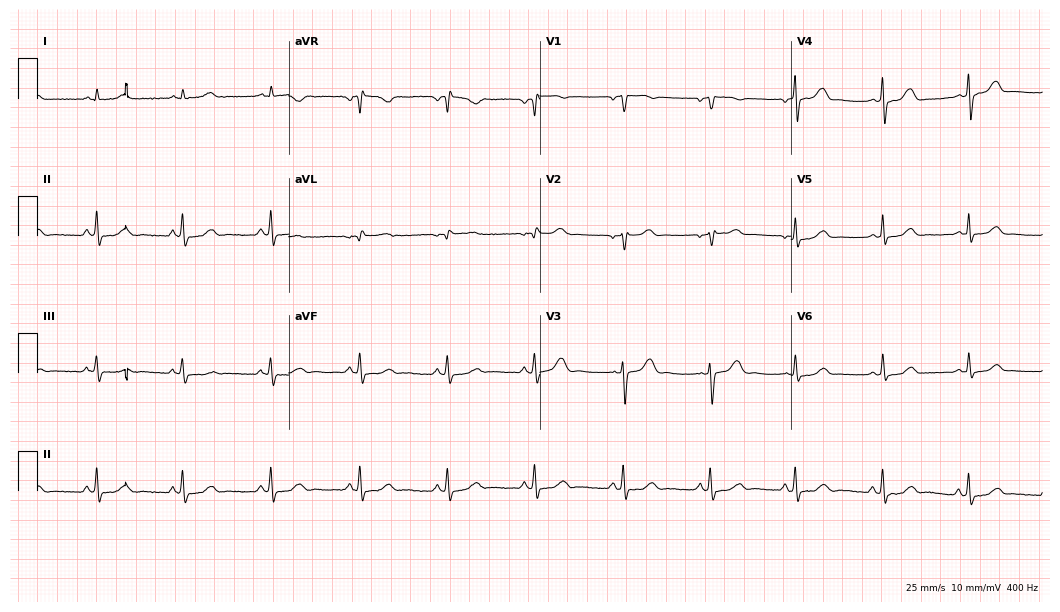
Resting 12-lead electrocardiogram (10.2-second recording at 400 Hz). Patient: a 36-year-old female. Read as a normal ECG.